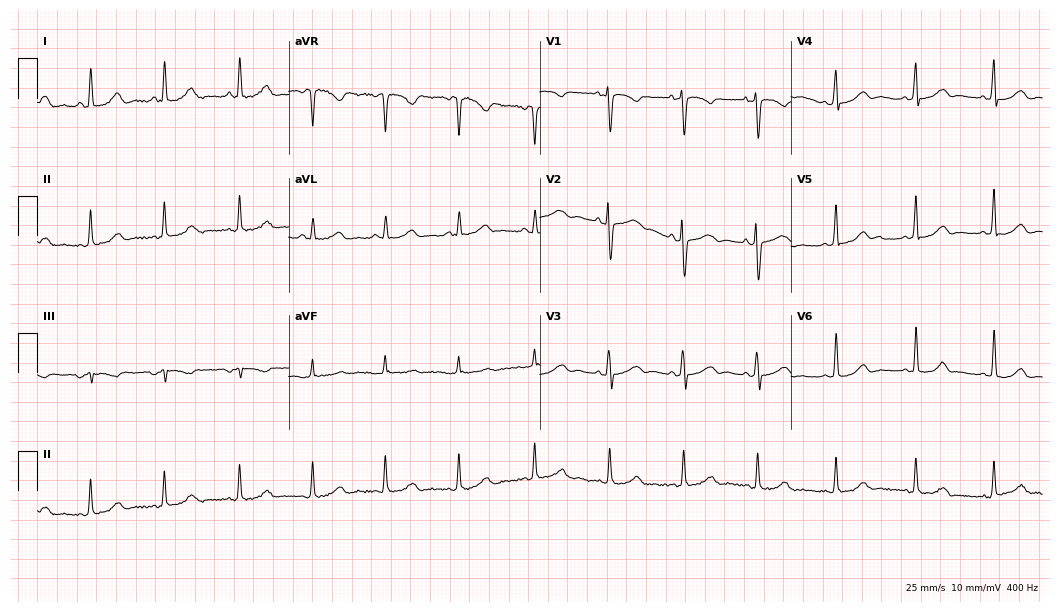
Standard 12-lead ECG recorded from a 47-year-old female (10.2-second recording at 400 Hz). None of these six findings is recorded: first-degree AV block, right bundle branch block, left bundle branch block, sinus bradycardia, atrial fibrillation, sinus tachycardia.